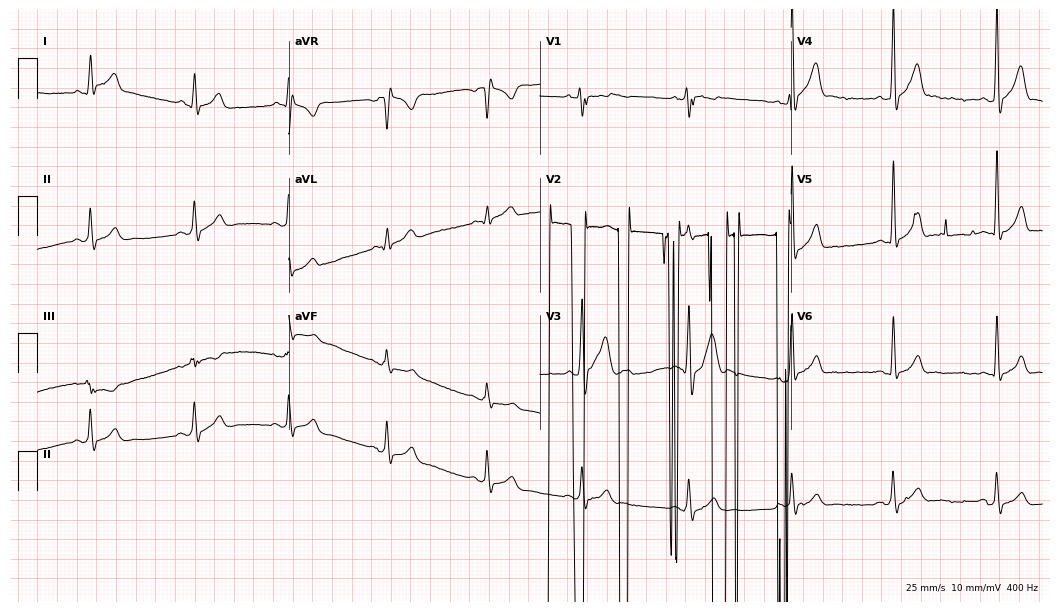
Resting 12-lead electrocardiogram. Patient: a man, 24 years old. None of these six findings is recorded: first-degree AV block, right bundle branch block, left bundle branch block, sinus bradycardia, atrial fibrillation, sinus tachycardia.